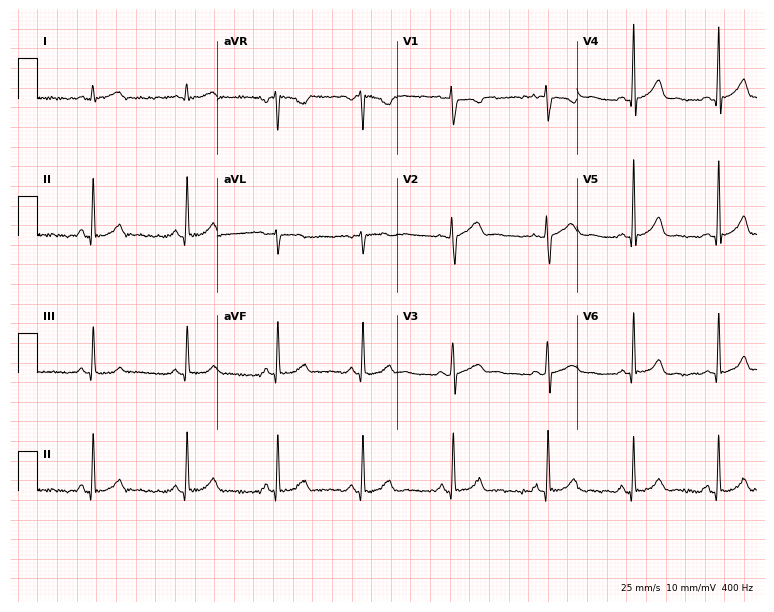
12-lead ECG from a 32-year-old woman. Labelled as a normal ECG.